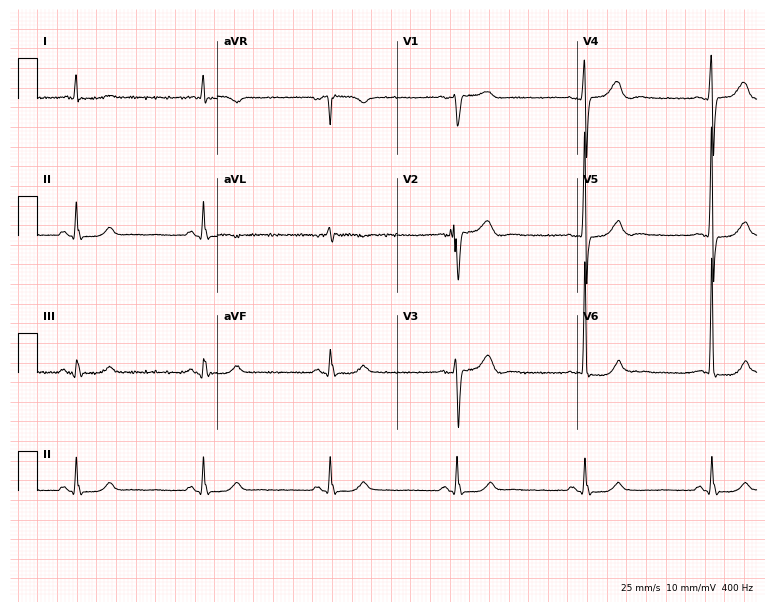
12-lead ECG from a 64-year-old male patient. Shows sinus bradycardia (a sinus rate of 50 beats per minute or less).